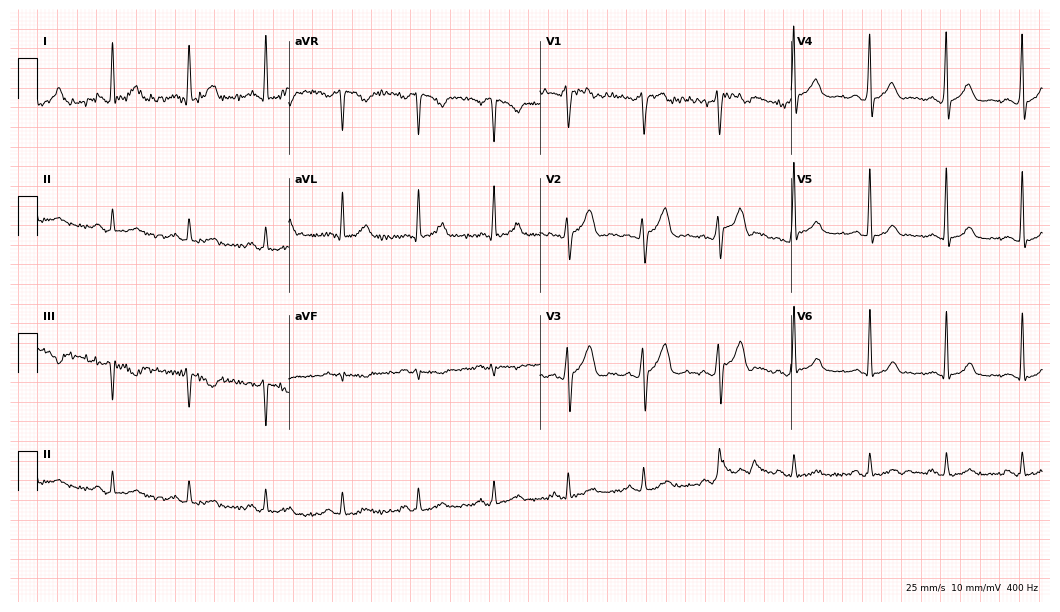
Electrocardiogram, a male, 39 years old. Of the six screened findings (first-degree AV block, right bundle branch block, left bundle branch block, sinus bradycardia, atrial fibrillation, sinus tachycardia), none is recorded. Findings outside these six are not listed.